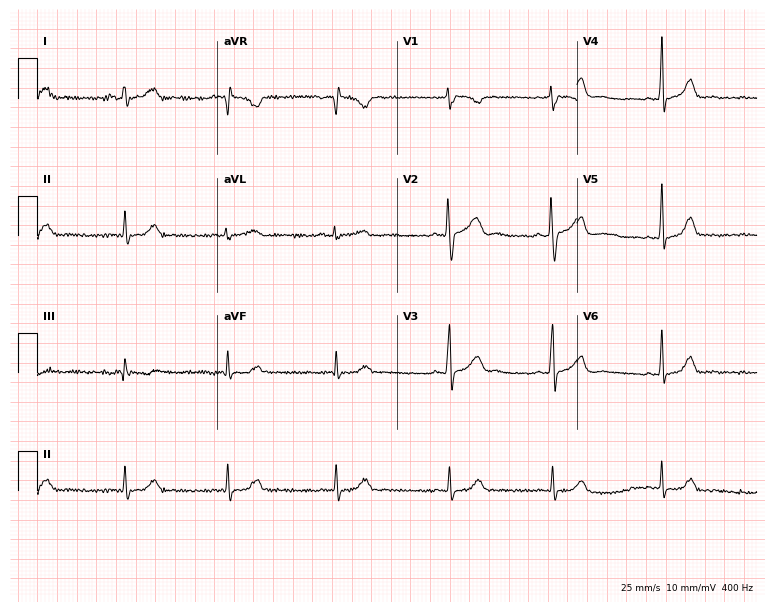
12-lead ECG from a woman, 28 years old (7.3-second recording at 400 Hz). Recorded interpretation: within normal limits.